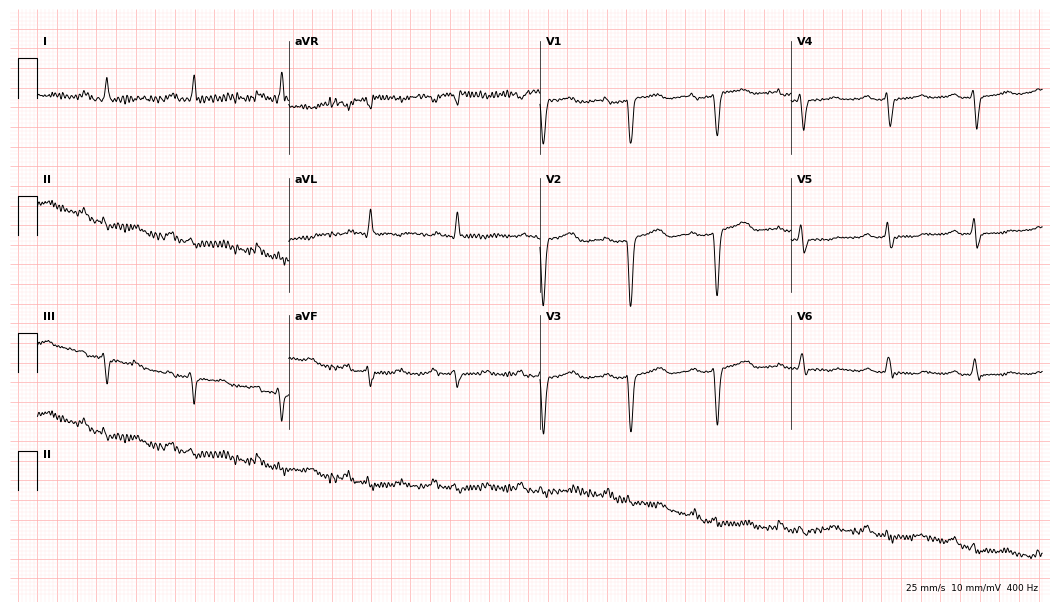
Electrocardiogram (10.2-second recording at 400 Hz), a female patient, 64 years old. Of the six screened findings (first-degree AV block, right bundle branch block, left bundle branch block, sinus bradycardia, atrial fibrillation, sinus tachycardia), none is recorded.